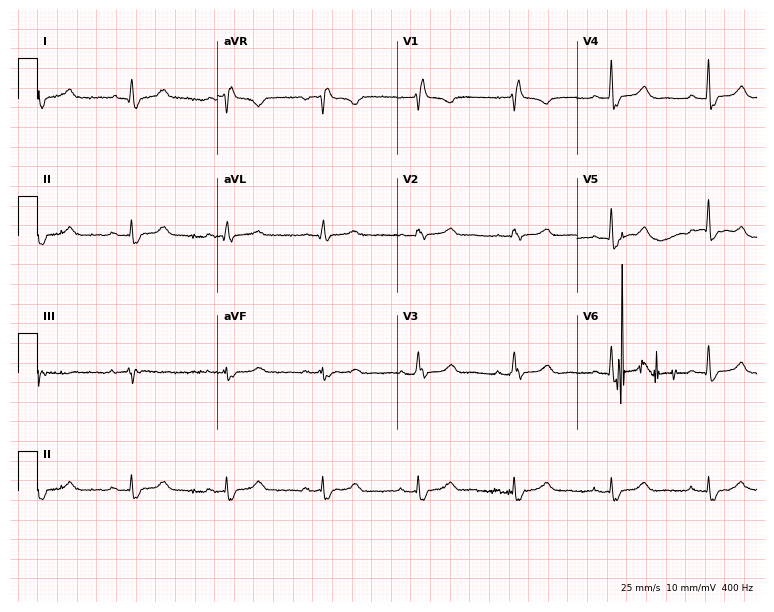
ECG (7.3-second recording at 400 Hz) — a 72-year-old female patient. Findings include right bundle branch block (RBBB).